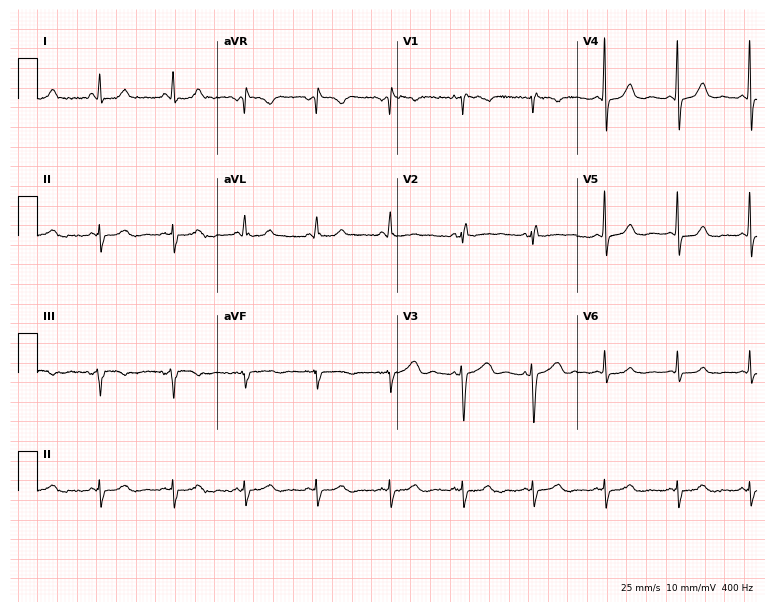
Electrocardiogram (7.3-second recording at 400 Hz), a 35-year-old female patient. Of the six screened findings (first-degree AV block, right bundle branch block (RBBB), left bundle branch block (LBBB), sinus bradycardia, atrial fibrillation (AF), sinus tachycardia), none is recorded.